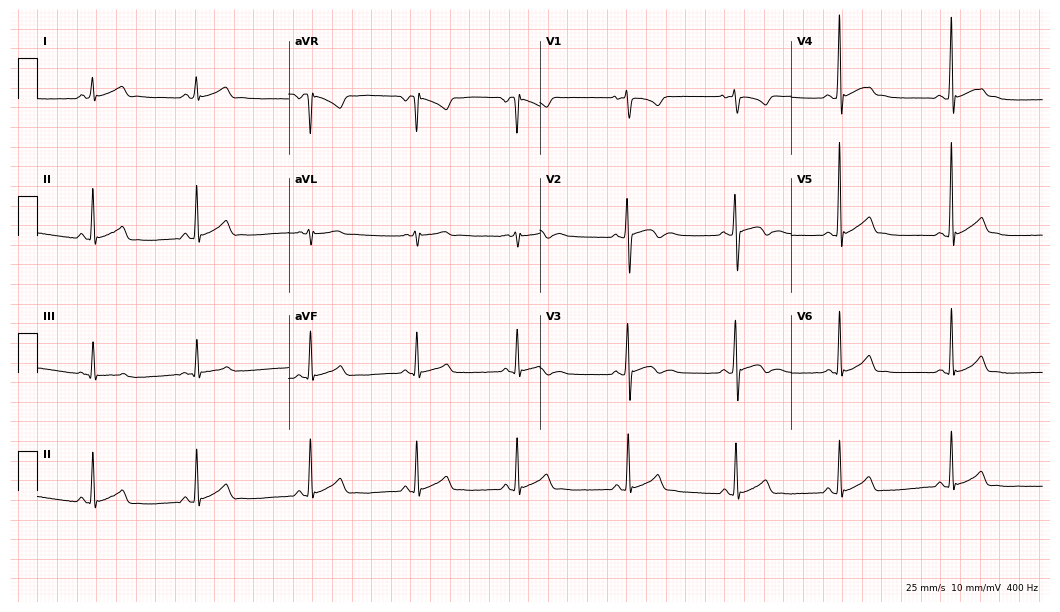
Electrocardiogram (10.2-second recording at 400 Hz), a 19-year-old male. Overall reading on record: normal ECG.